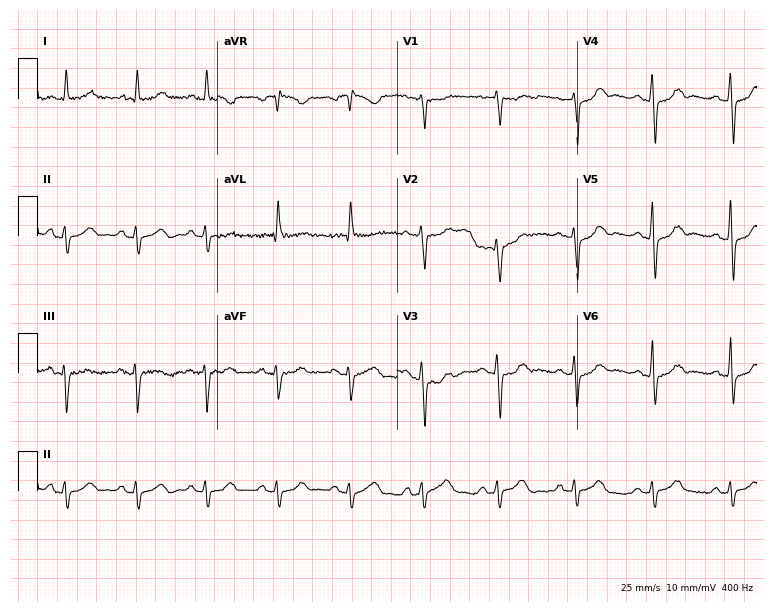
ECG (7.3-second recording at 400 Hz) — a male, 72 years old. Screened for six findings — first-degree AV block, right bundle branch block (RBBB), left bundle branch block (LBBB), sinus bradycardia, atrial fibrillation (AF), sinus tachycardia — none is recorded. Other findings, if any, are not listed.